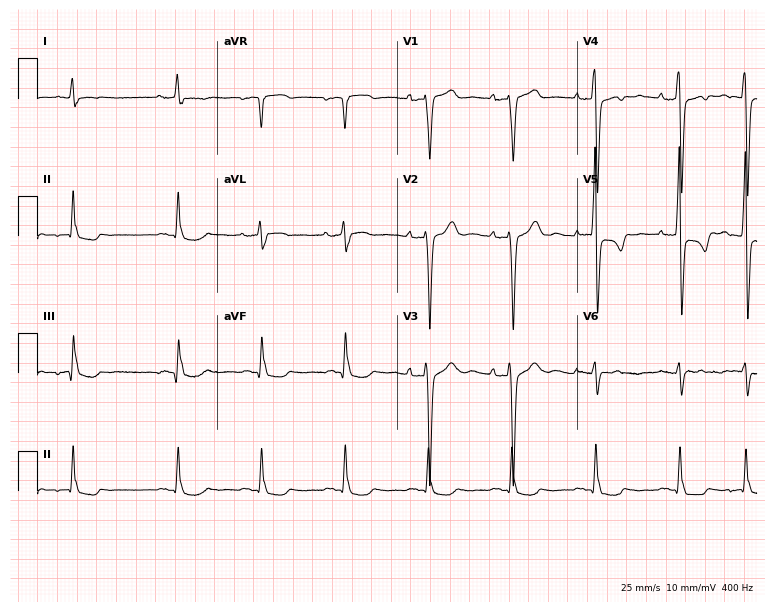
12-lead ECG from an 82-year-old male patient. Screened for six findings — first-degree AV block, right bundle branch block, left bundle branch block, sinus bradycardia, atrial fibrillation, sinus tachycardia — none is recorded. Findings outside these six are not listed.